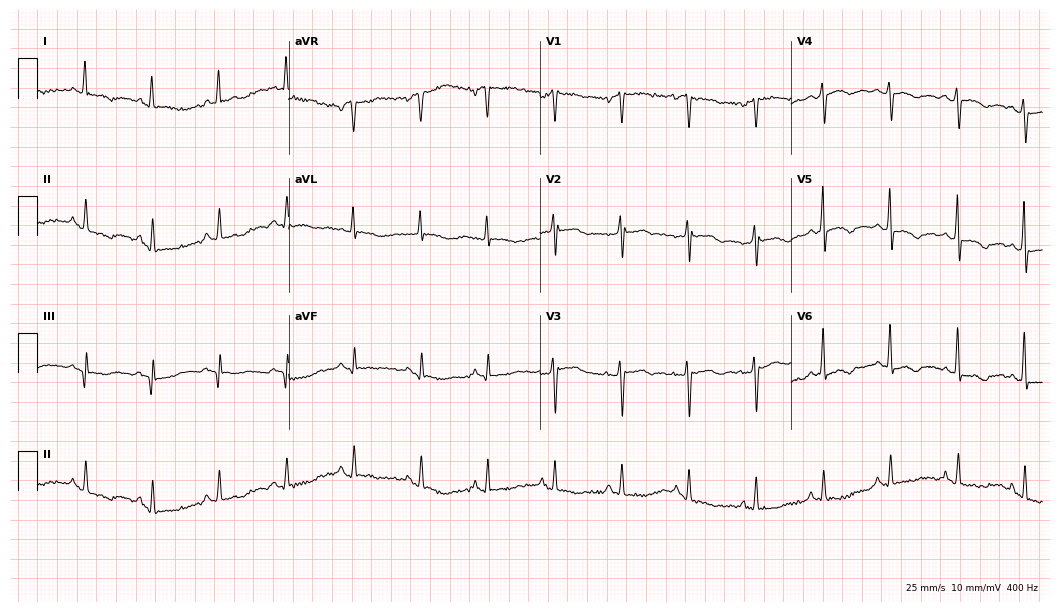
12-lead ECG from a female, 55 years old (10.2-second recording at 400 Hz). No first-degree AV block, right bundle branch block, left bundle branch block, sinus bradycardia, atrial fibrillation or sinus tachycardia recorded for this tracing.